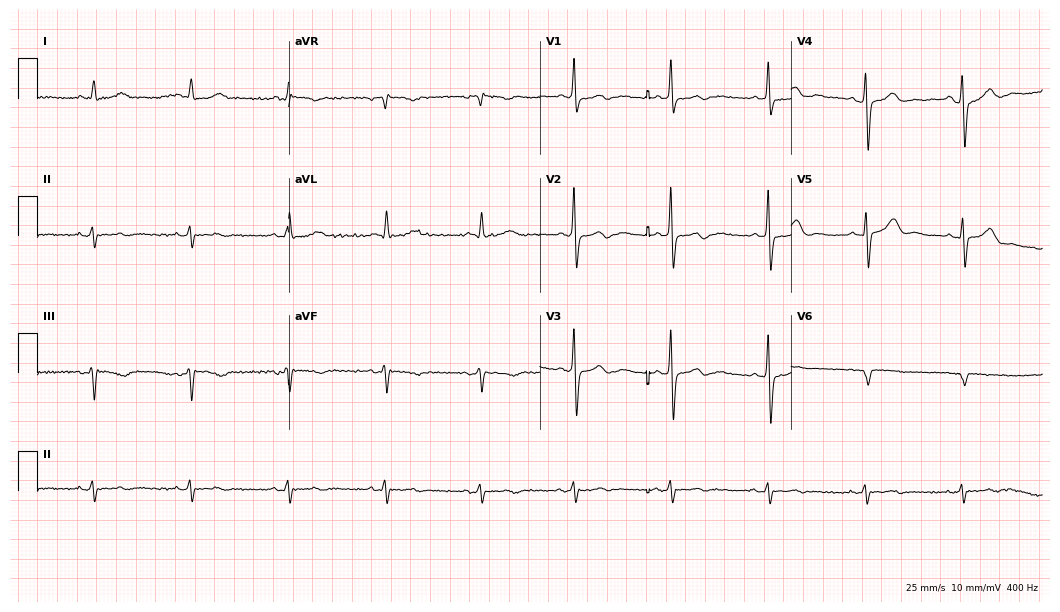
12-lead ECG from a 66-year-old male (10.2-second recording at 400 Hz). No first-degree AV block, right bundle branch block, left bundle branch block, sinus bradycardia, atrial fibrillation or sinus tachycardia recorded for this tracing. Other findings, if any, are not listed.